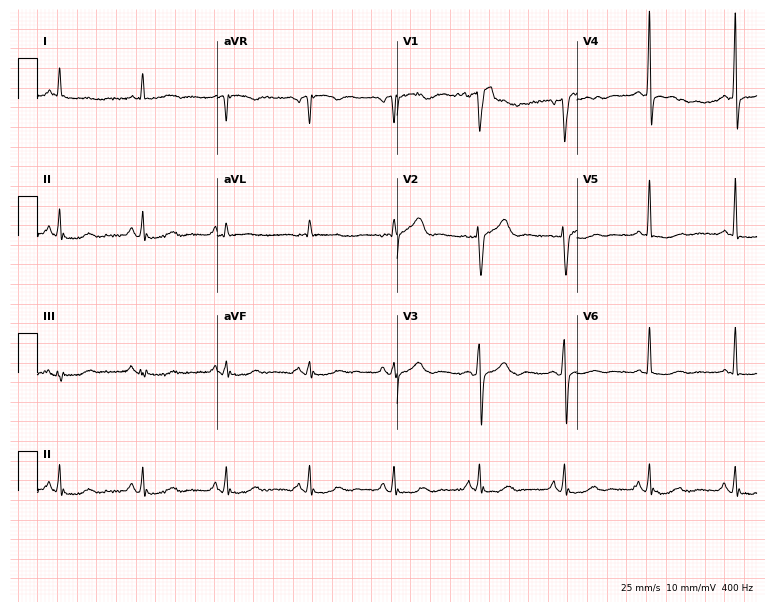
12-lead ECG from a man, 68 years old. Labelled as a normal ECG.